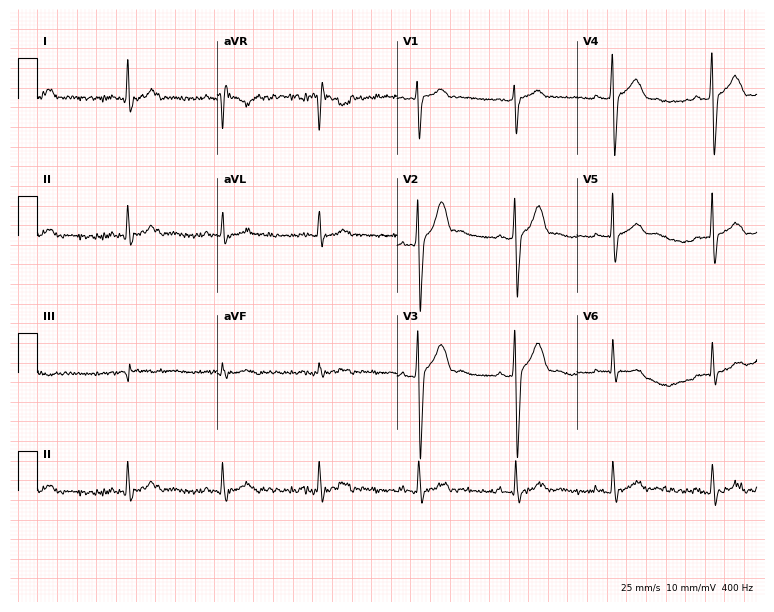
Electrocardiogram (7.3-second recording at 400 Hz), a male, 20 years old. Overall reading on record: normal ECG.